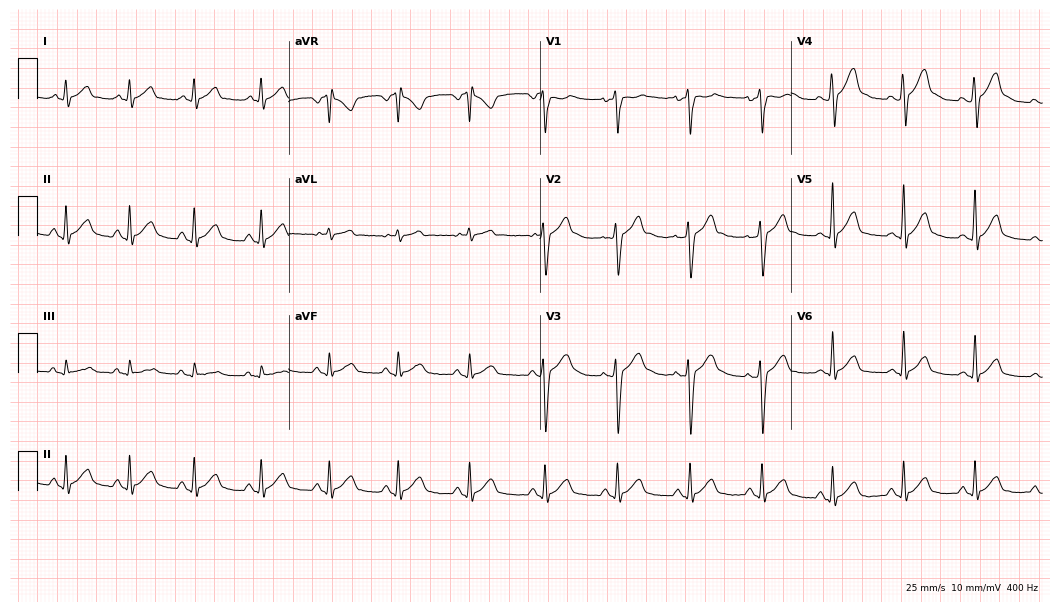
Resting 12-lead electrocardiogram (10.2-second recording at 400 Hz). Patient: a 28-year-old male. Read as a normal ECG.